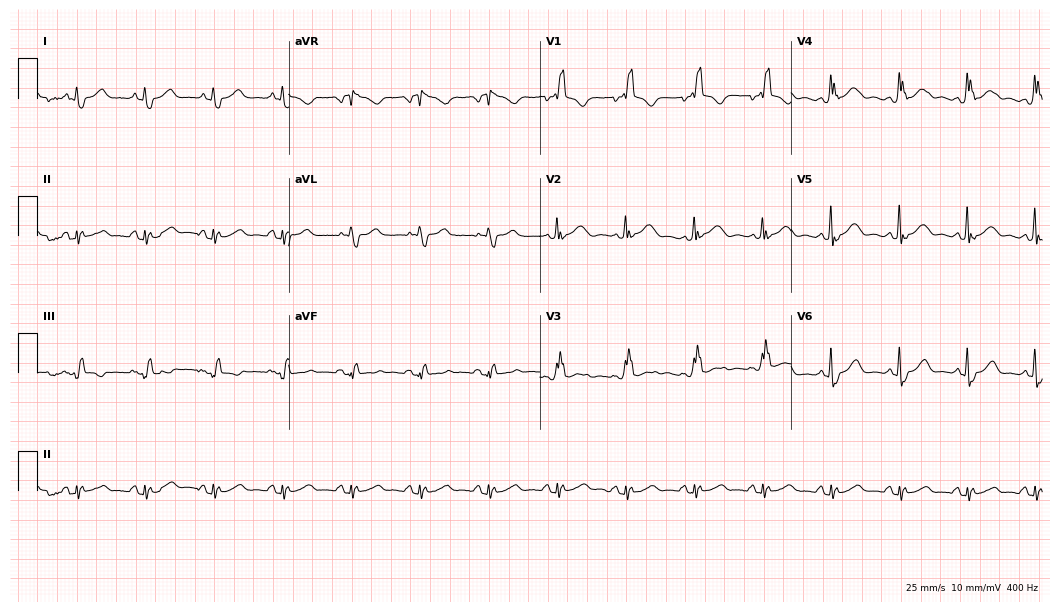
12-lead ECG from a 79-year-old male patient. Screened for six findings — first-degree AV block, right bundle branch block (RBBB), left bundle branch block (LBBB), sinus bradycardia, atrial fibrillation (AF), sinus tachycardia — none is recorded.